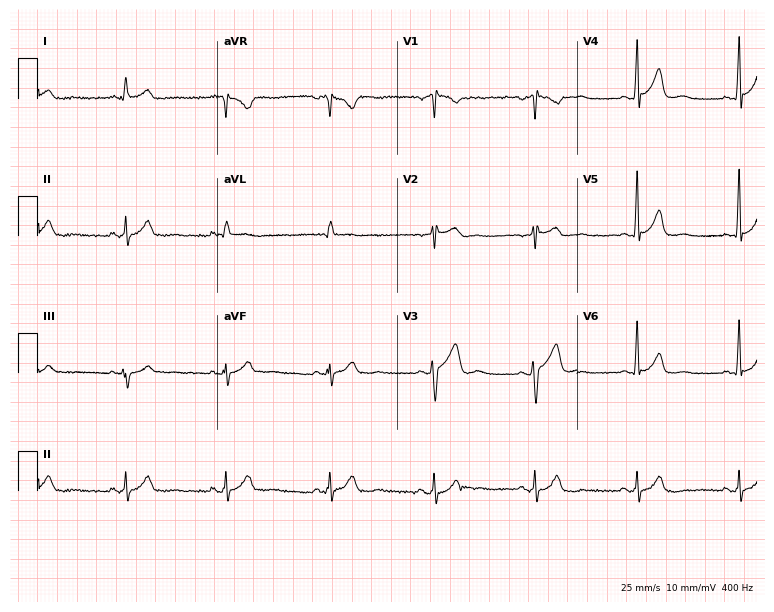
12-lead ECG from a 48-year-old male. No first-degree AV block, right bundle branch block, left bundle branch block, sinus bradycardia, atrial fibrillation or sinus tachycardia recorded for this tracing.